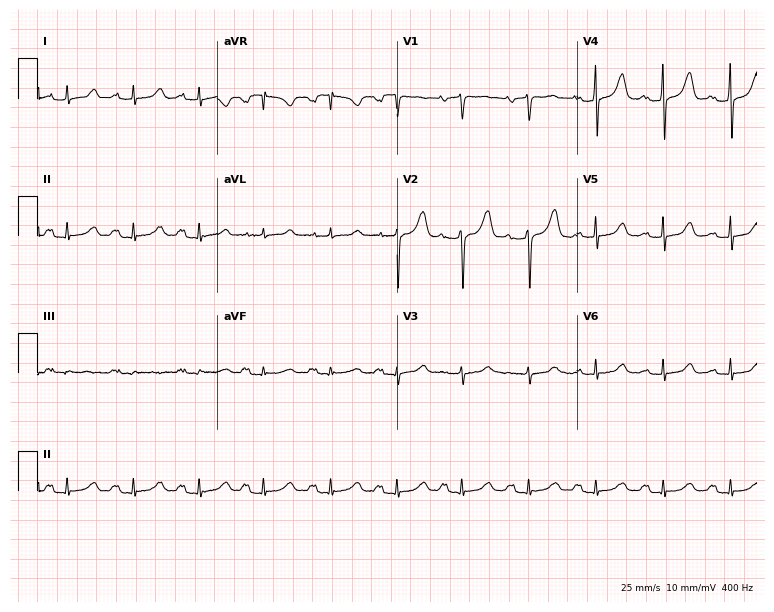
12-lead ECG (7.3-second recording at 400 Hz) from a 54-year-old female patient. Findings include first-degree AV block.